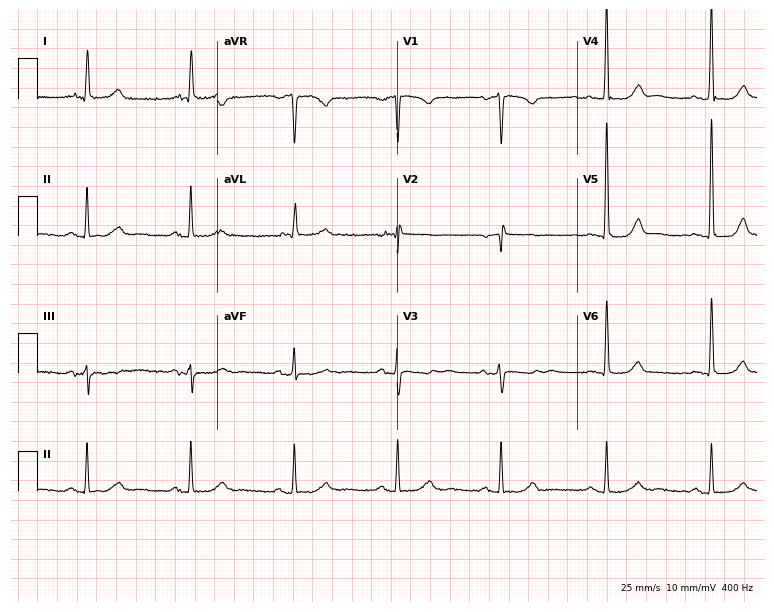
ECG (7.3-second recording at 400 Hz) — an 88-year-old woman. Screened for six findings — first-degree AV block, right bundle branch block, left bundle branch block, sinus bradycardia, atrial fibrillation, sinus tachycardia — none is recorded. Other findings, if any, are not listed.